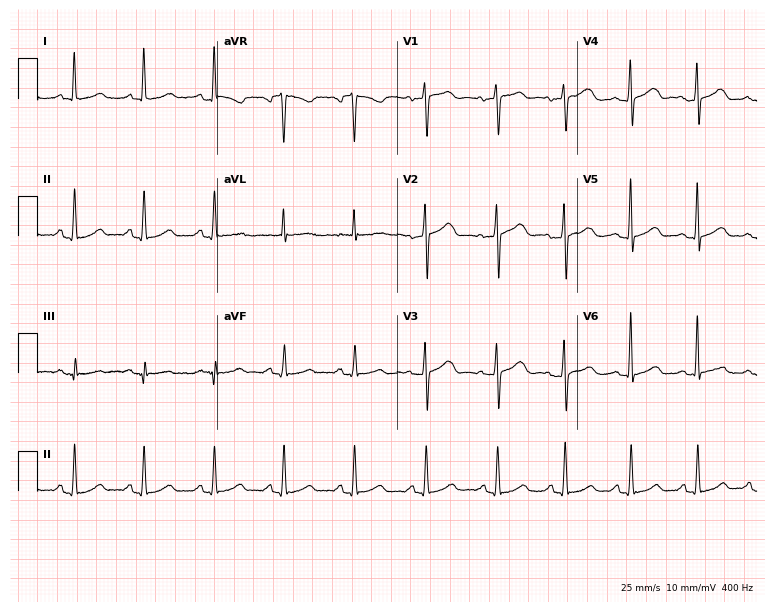
12-lead ECG from a female patient, 63 years old (7.3-second recording at 400 Hz). Recorded interpretation: within normal limits.